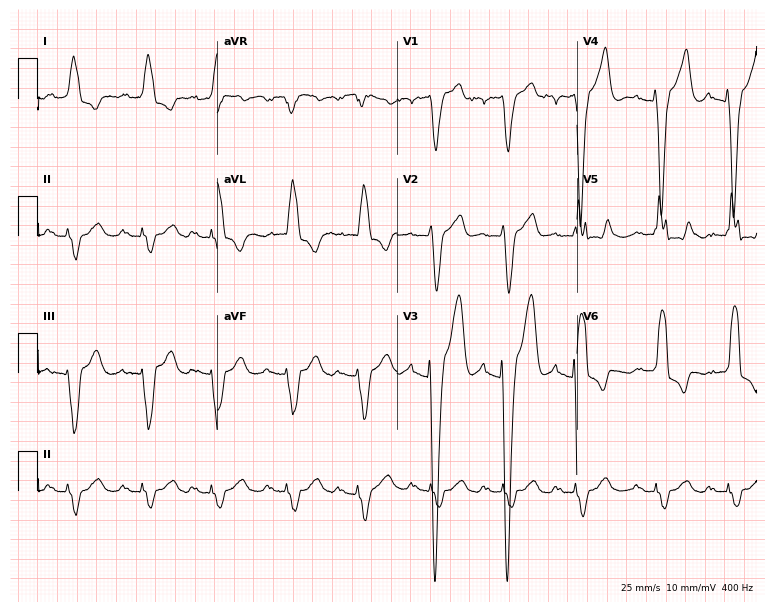
ECG — an 84-year-old man. Findings include left bundle branch block (LBBB).